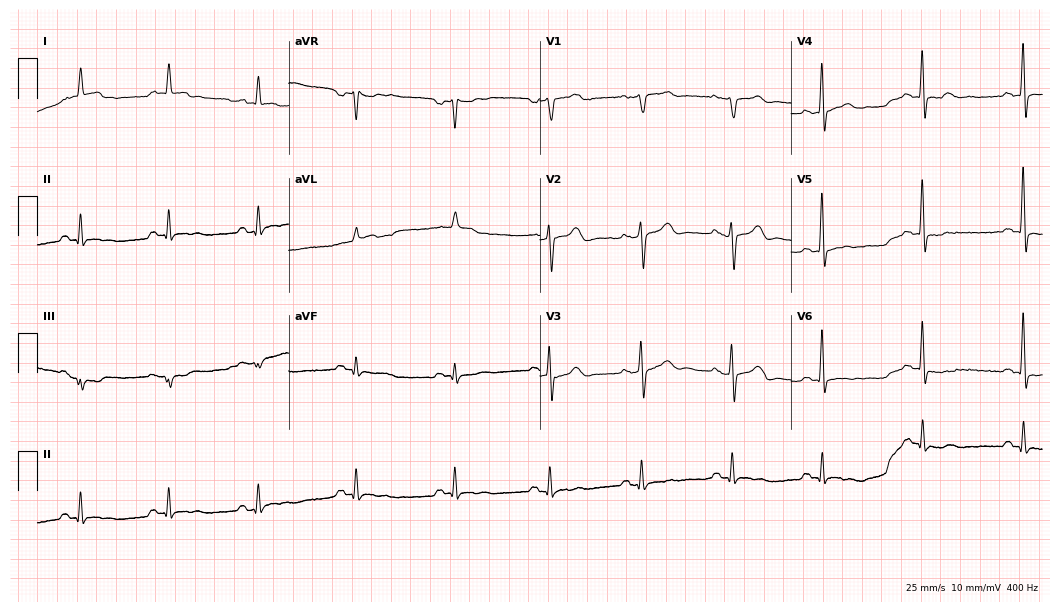
Electrocardiogram (10.2-second recording at 400 Hz), a 79-year-old male. Of the six screened findings (first-degree AV block, right bundle branch block, left bundle branch block, sinus bradycardia, atrial fibrillation, sinus tachycardia), none is recorded.